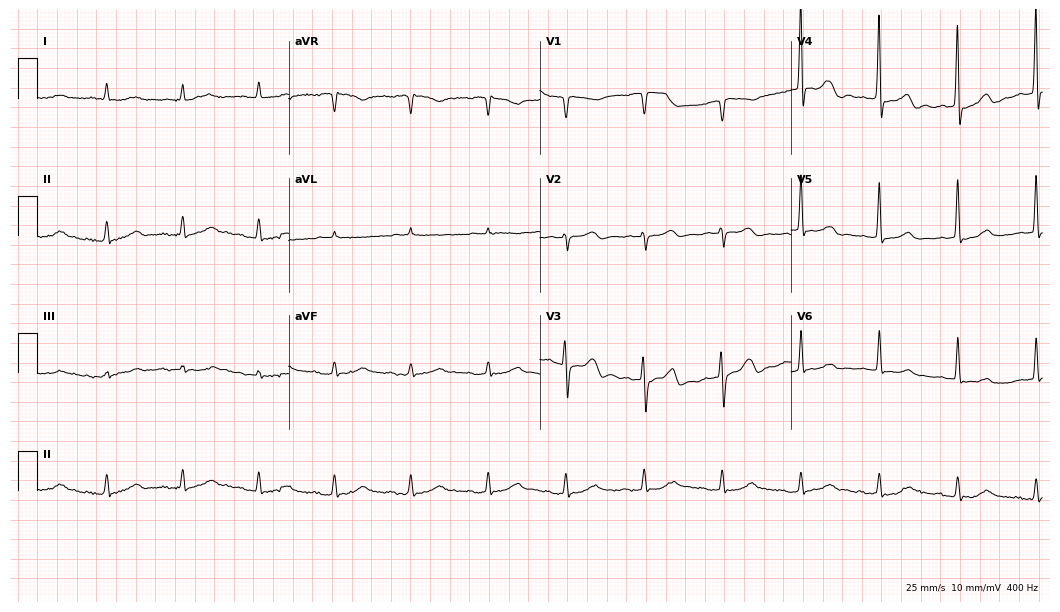
12-lead ECG from an 83-year-old male patient (10.2-second recording at 400 Hz). Recorded interpretation: within normal limits.